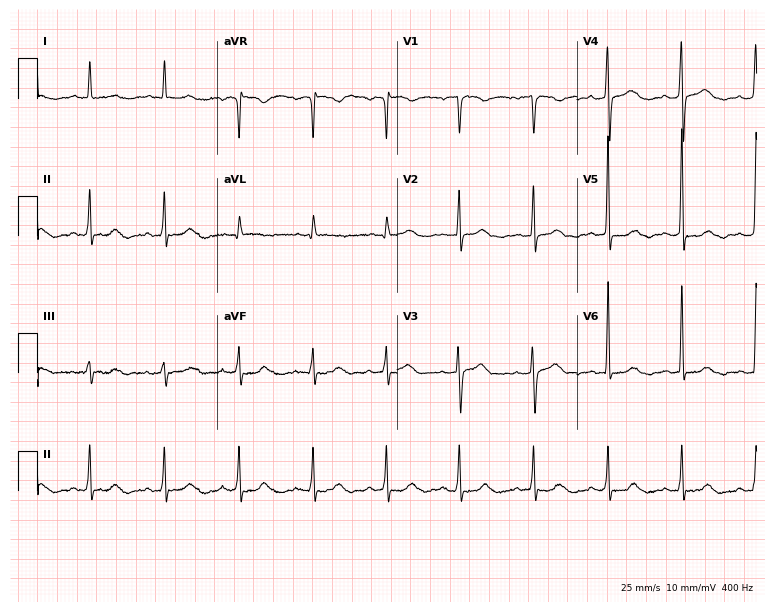
Resting 12-lead electrocardiogram (7.3-second recording at 400 Hz). Patient: a female, 62 years old. None of these six findings is recorded: first-degree AV block, right bundle branch block, left bundle branch block, sinus bradycardia, atrial fibrillation, sinus tachycardia. Findings outside these six are not listed.